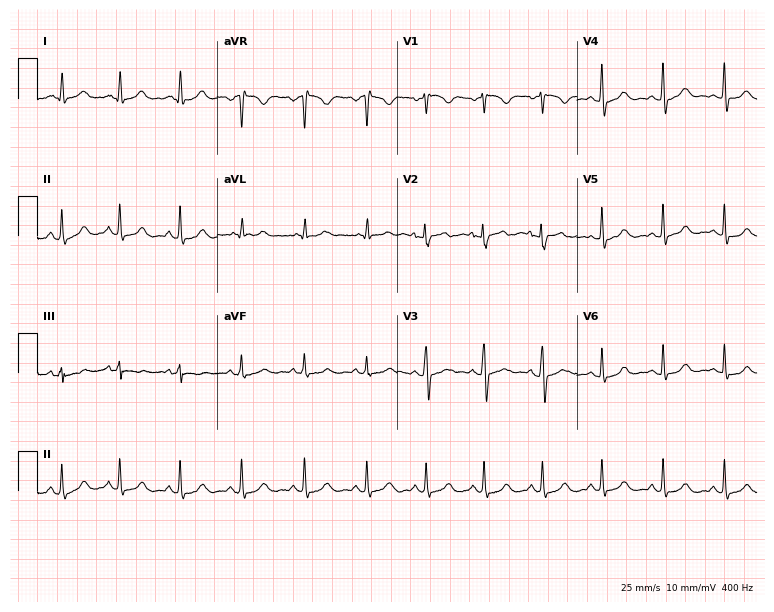
Resting 12-lead electrocardiogram. Patient: a 26-year-old female. None of these six findings is recorded: first-degree AV block, right bundle branch block, left bundle branch block, sinus bradycardia, atrial fibrillation, sinus tachycardia. Other findings, if any, are not listed.